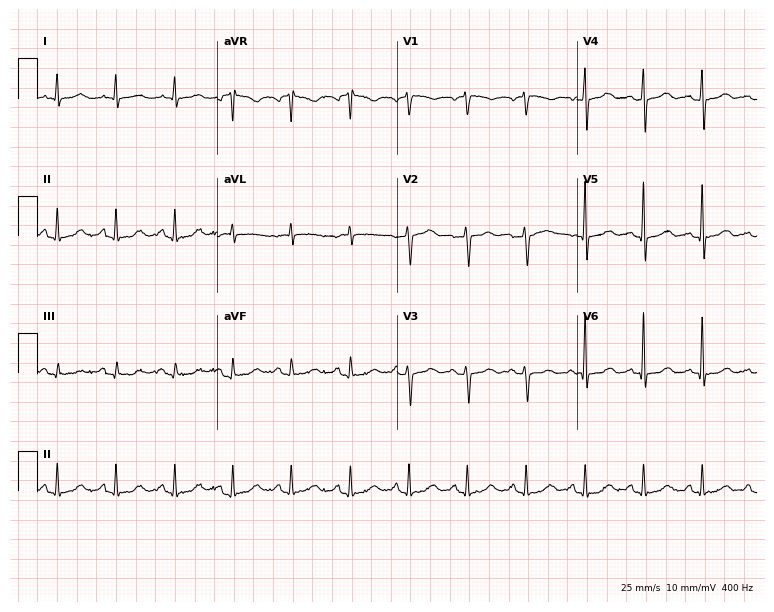
12-lead ECG from a woman, 65 years old (7.3-second recording at 400 Hz). Recorded interpretation: within normal limits.